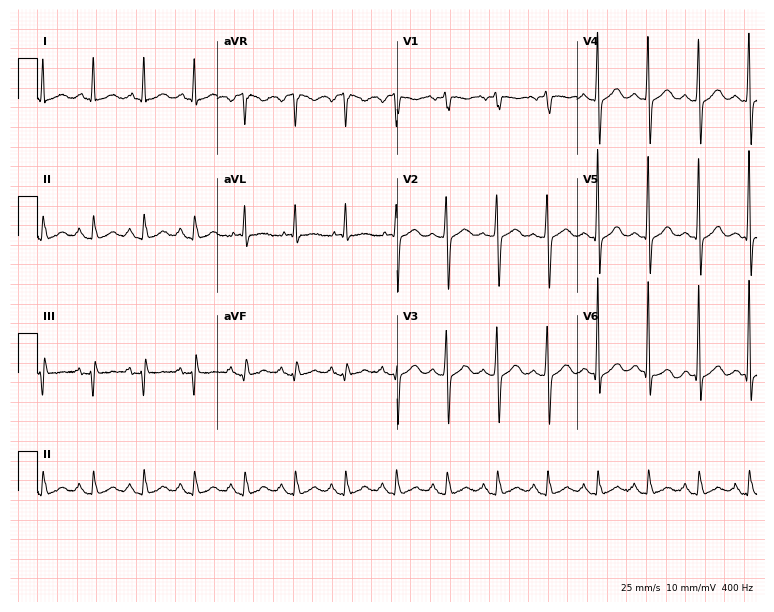
ECG (7.3-second recording at 400 Hz) — a male, 80 years old. Findings include sinus tachycardia (a sinus rate of 100 beats per minute or more).